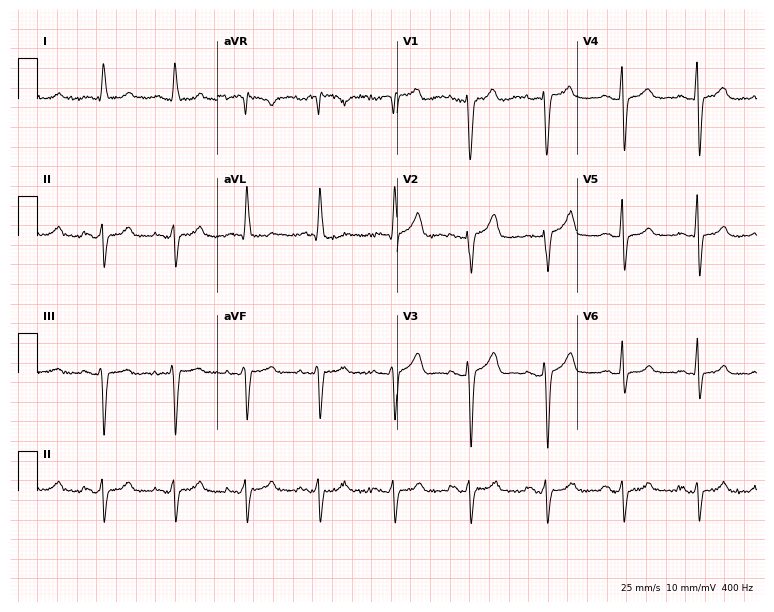
12-lead ECG from a female, 75 years old. Screened for six findings — first-degree AV block, right bundle branch block, left bundle branch block, sinus bradycardia, atrial fibrillation, sinus tachycardia — none is recorded.